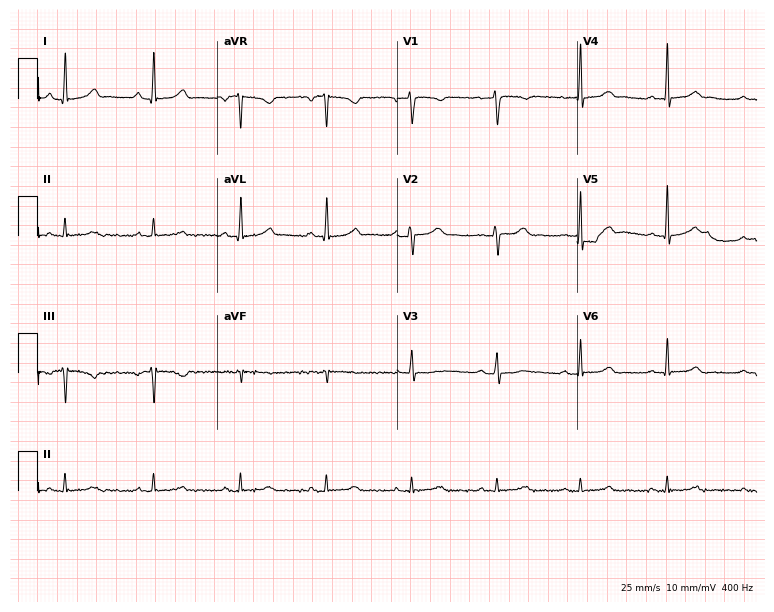
Electrocardiogram (7.3-second recording at 400 Hz), a female patient, 43 years old. Overall reading on record: normal ECG.